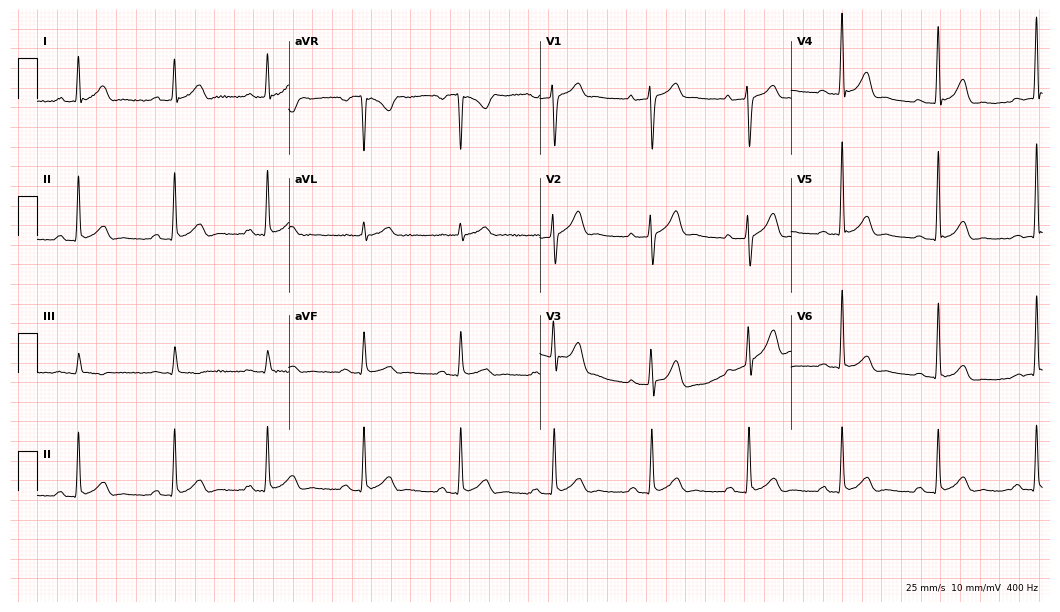
12-lead ECG (10.2-second recording at 400 Hz) from a male patient, 48 years old. Labelled as a normal ECG.